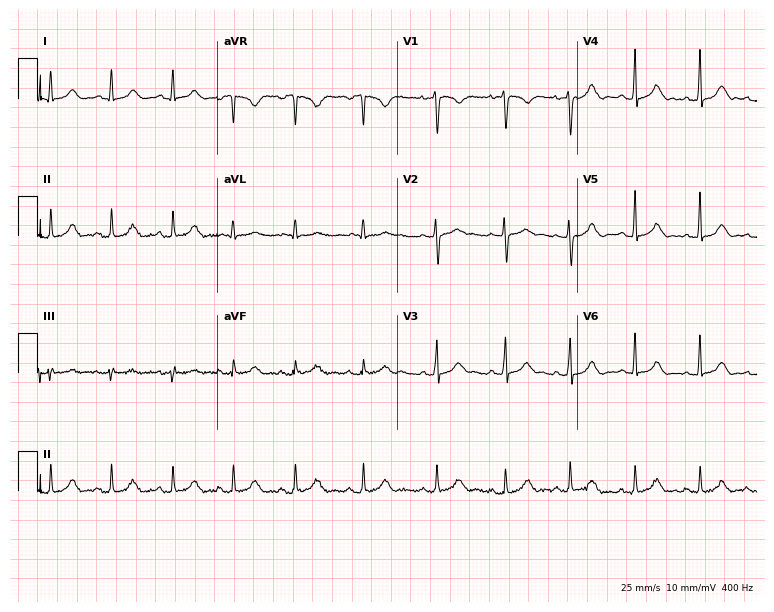
ECG (7.3-second recording at 400 Hz) — a female patient, 30 years old. Labelled as a normal ECG.